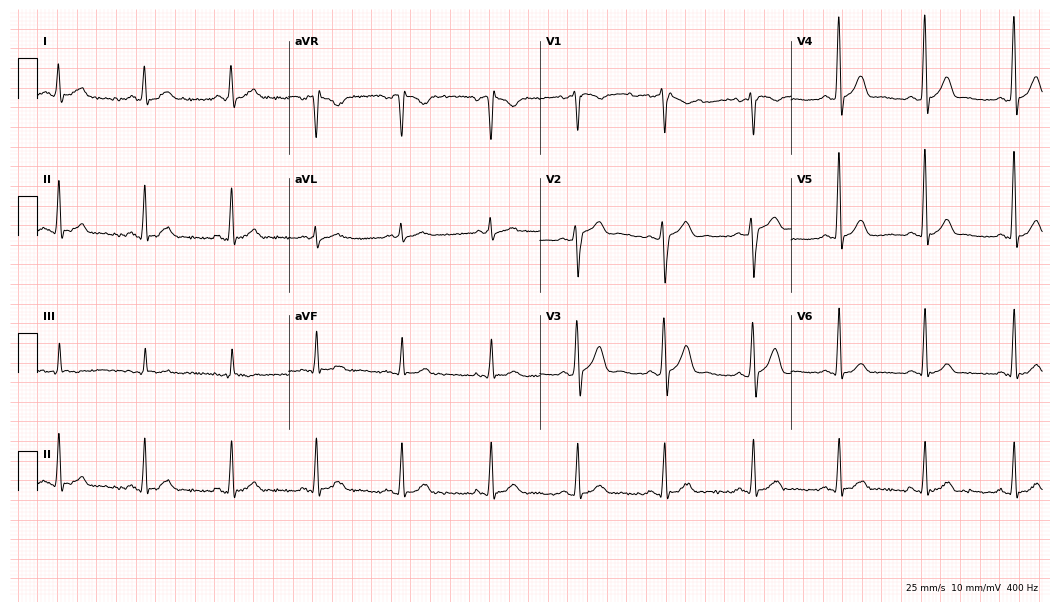
Electrocardiogram, a man, 57 years old. Of the six screened findings (first-degree AV block, right bundle branch block (RBBB), left bundle branch block (LBBB), sinus bradycardia, atrial fibrillation (AF), sinus tachycardia), none is recorded.